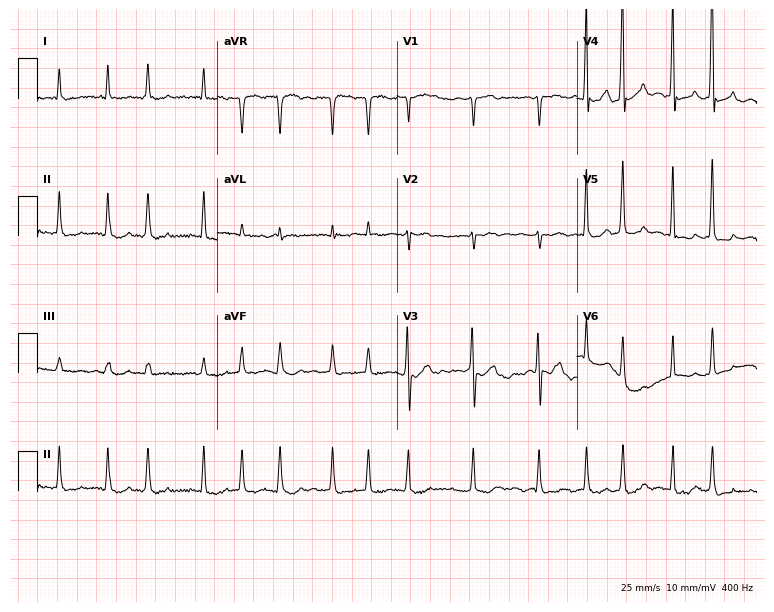
Electrocardiogram, a 62-year-old male patient. Interpretation includes atrial fibrillation.